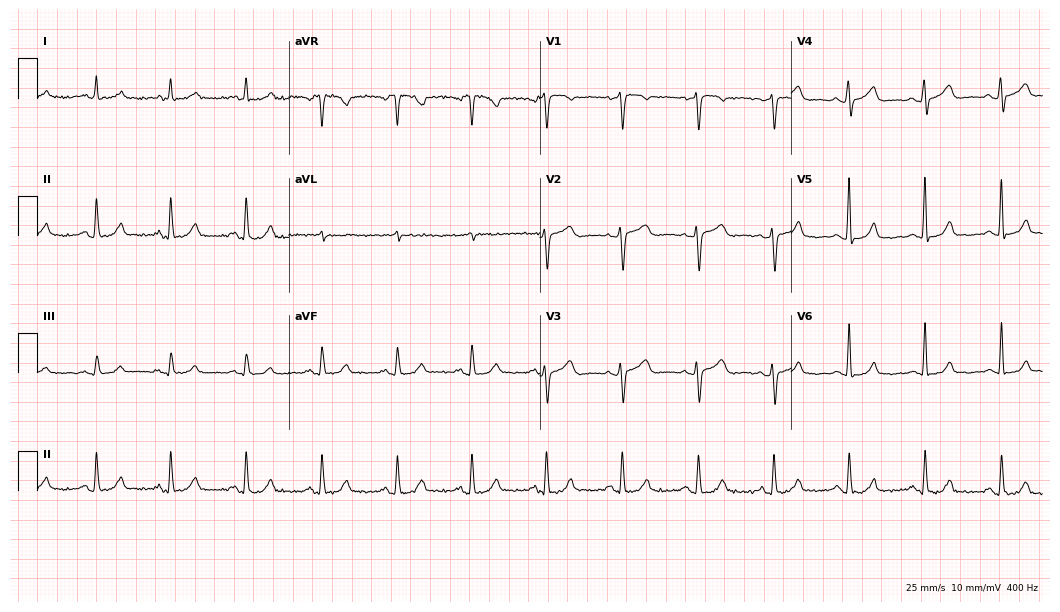
12-lead ECG from a female patient, 66 years old. Labelled as a normal ECG.